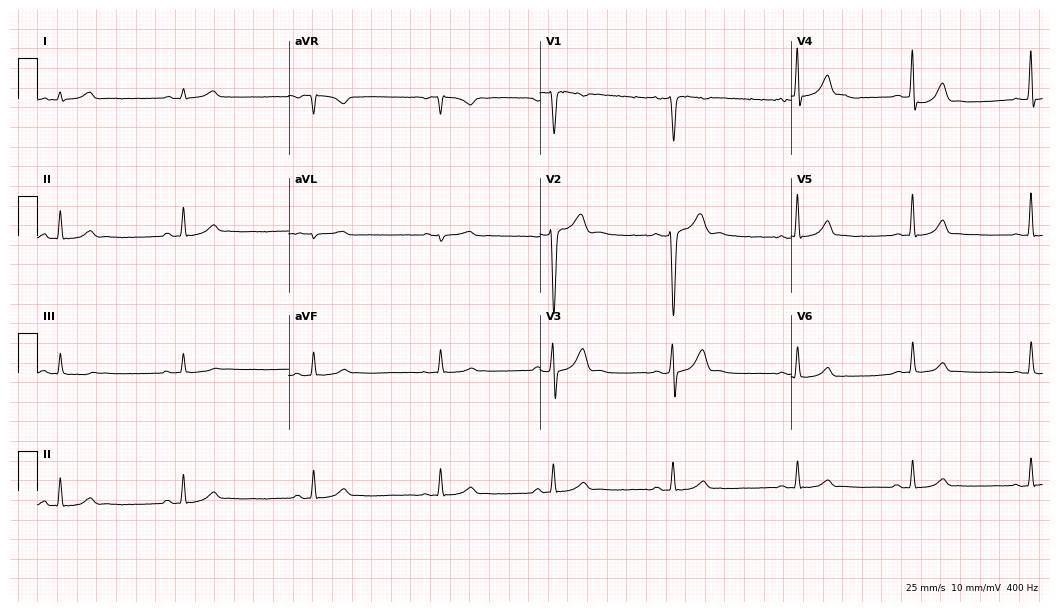
Standard 12-lead ECG recorded from a male patient, 25 years old. None of these six findings is recorded: first-degree AV block, right bundle branch block, left bundle branch block, sinus bradycardia, atrial fibrillation, sinus tachycardia.